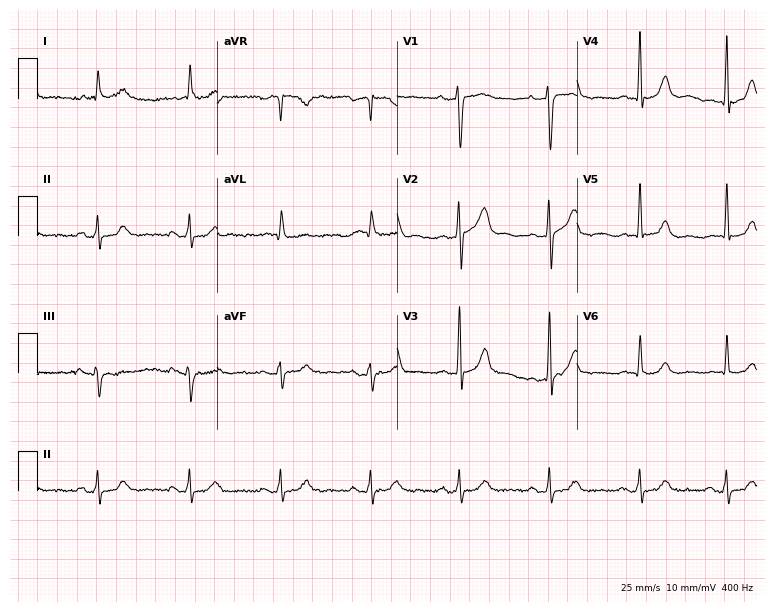
ECG — a male, 66 years old. Labelled as a normal ECG.